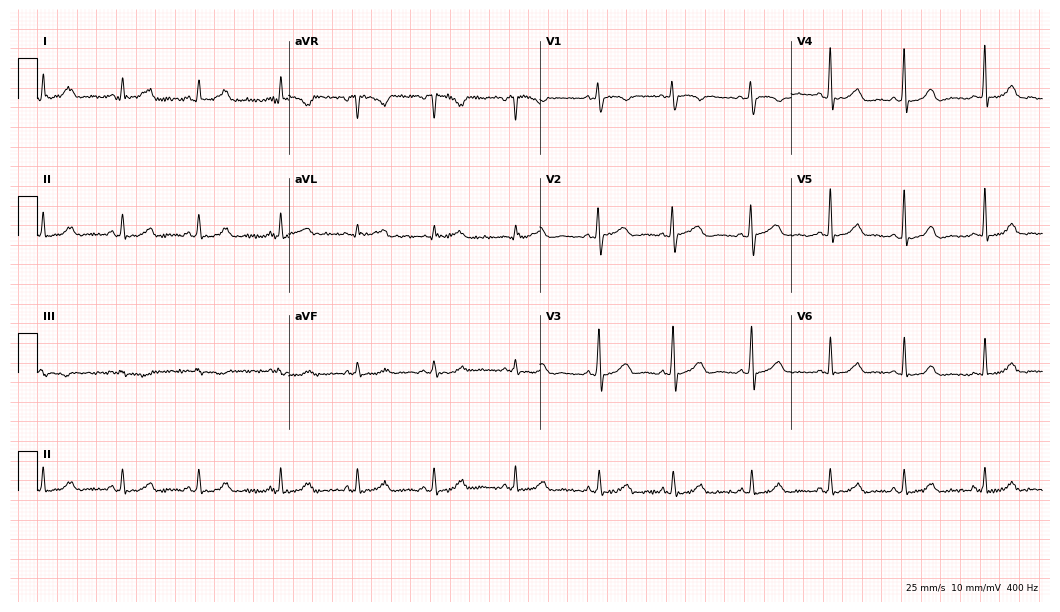
12-lead ECG from a 48-year-old woman (10.2-second recording at 400 Hz). No first-degree AV block, right bundle branch block, left bundle branch block, sinus bradycardia, atrial fibrillation or sinus tachycardia recorded for this tracing.